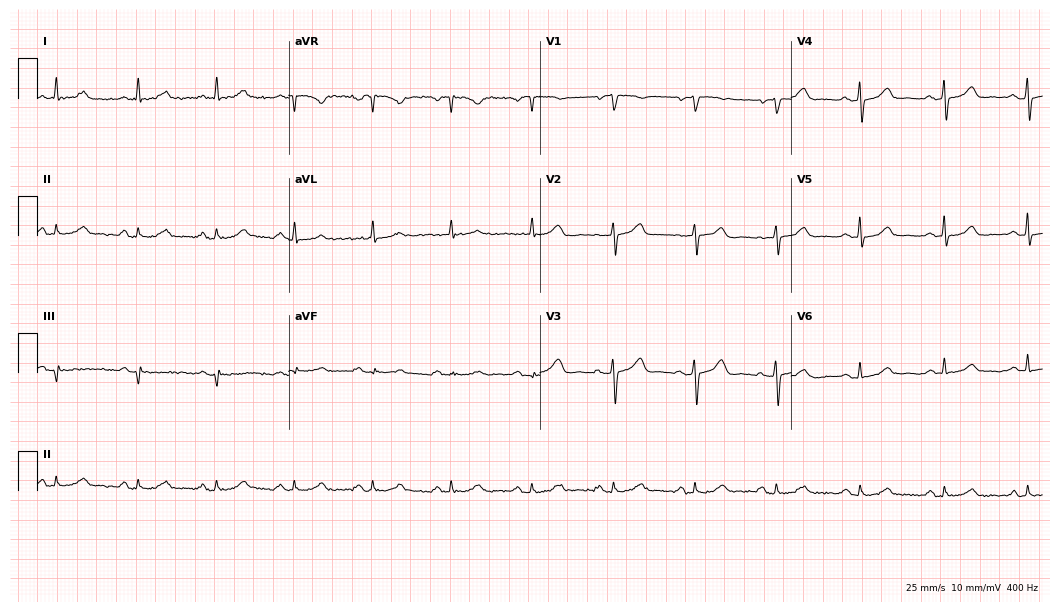
12-lead ECG from a 60-year-old female. Labelled as a normal ECG.